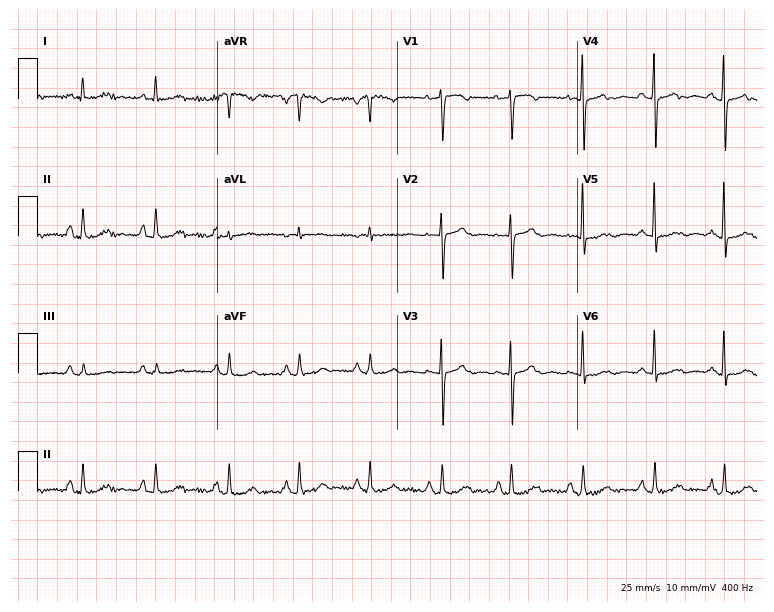
Standard 12-lead ECG recorded from a 72-year-old female patient. Read as a normal ECG.